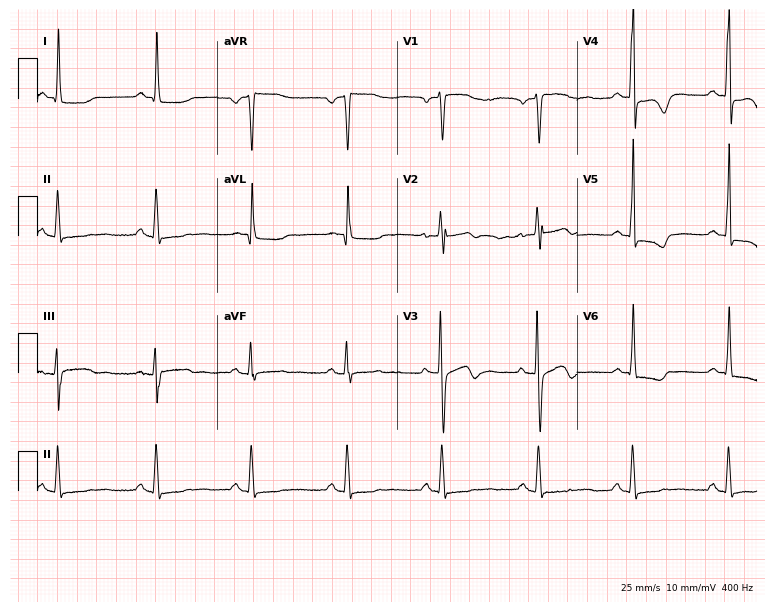
ECG (7.3-second recording at 400 Hz) — a female patient, 33 years old. Labelled as a normal ECG.